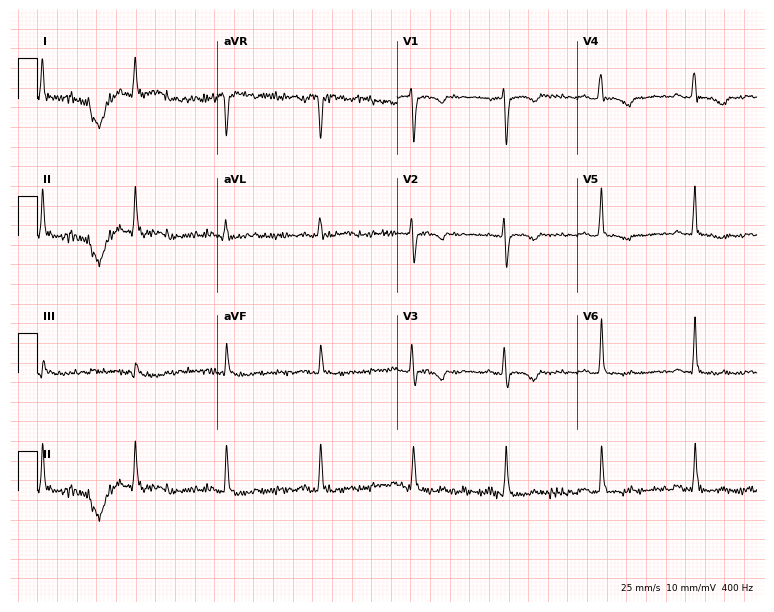
12-lead ECG from a 52-year-old female patient (7.3-second recording at 400 Hz). No first-degree AV block, right bundle branch block (RBBB), left bundle branch block (LBBB), sinus bradycardia, atrial fibrillation (AF) or sinus tachycardia recorded for this tracing. Only these six findings were labelled.